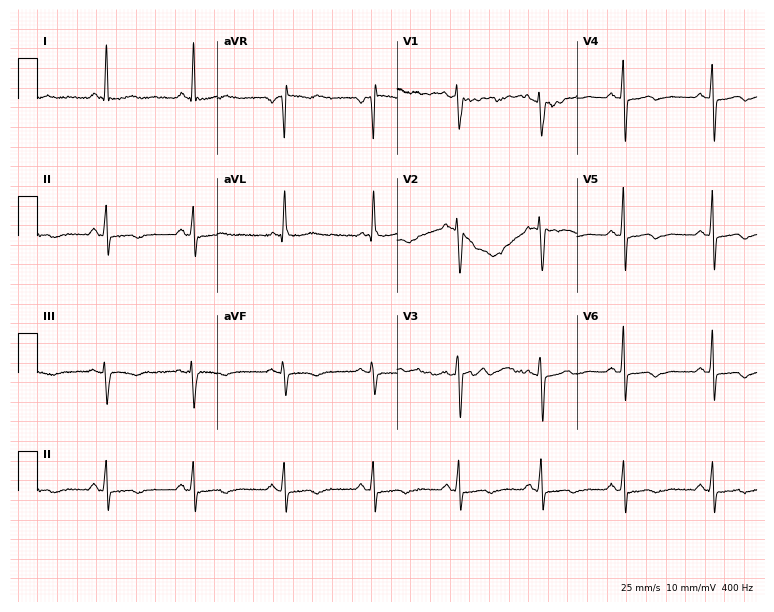
ECG — a 74-year-old female patient. Screened for six findings — first-degree AV block, right bundle branch block (RBBB), left bundle branch block (LBBB), sinus bradycardia, atrial fibrillation (AF), sinus tachycardia — none is recorded.